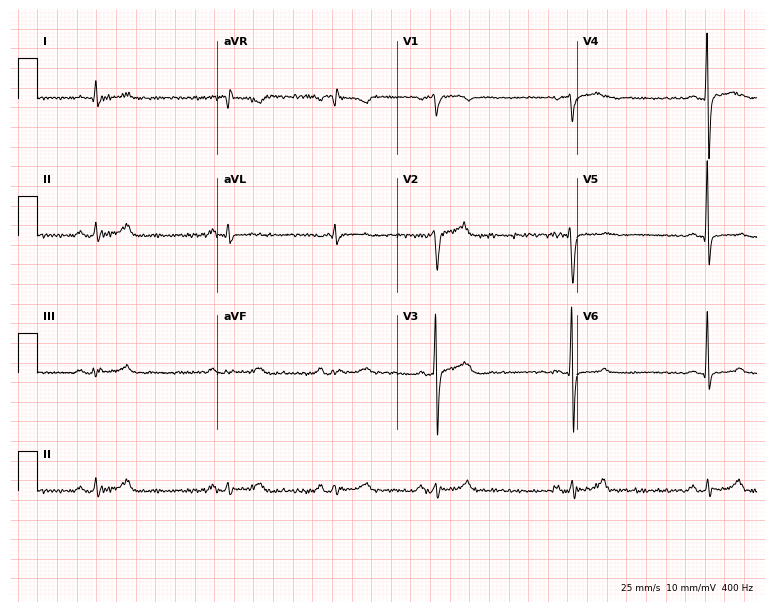
Standard 12-lead ECG recorded from a 31-year-old male patient. None of these six findings is recorded: first-degree AV block, right bundle branch block (RBBB), left bundle branch block (LBBB), sinus bradycardia, atrial fibrillation (AF), sinus tachycardia. Findings outside these six are not listed.